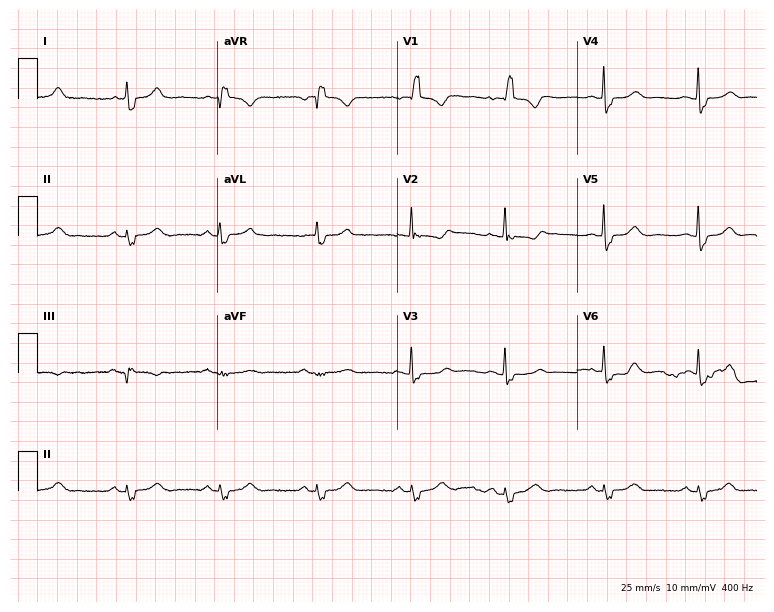
12-lead ECG from a 74-year-old female. Shows right bundle branch block.